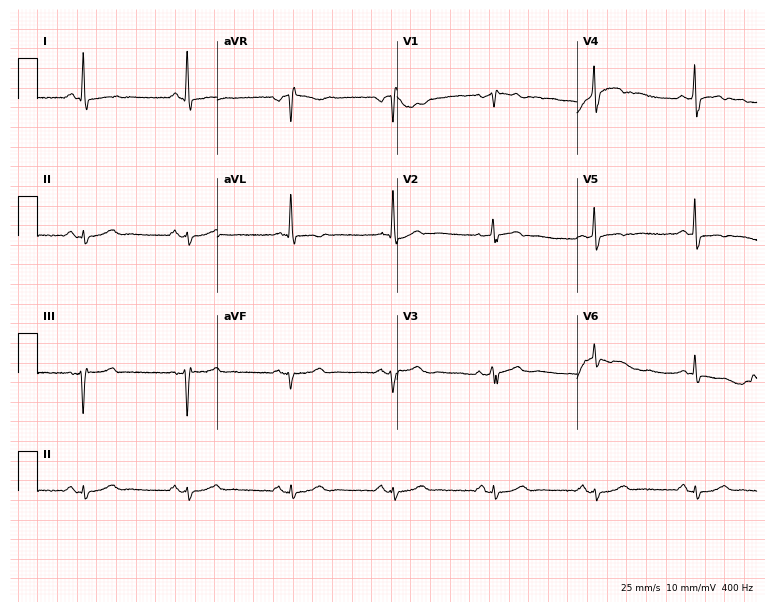
Resting 12-lead electrocardiogram. Patient: a 76-year-old male. None of these six findings is recorded: first-degree AV block, right bundle branch block, left bundle branch block, sinus bradycardia, atrial fibrillation, sinus tachycardia. Only these six findings were labelled.